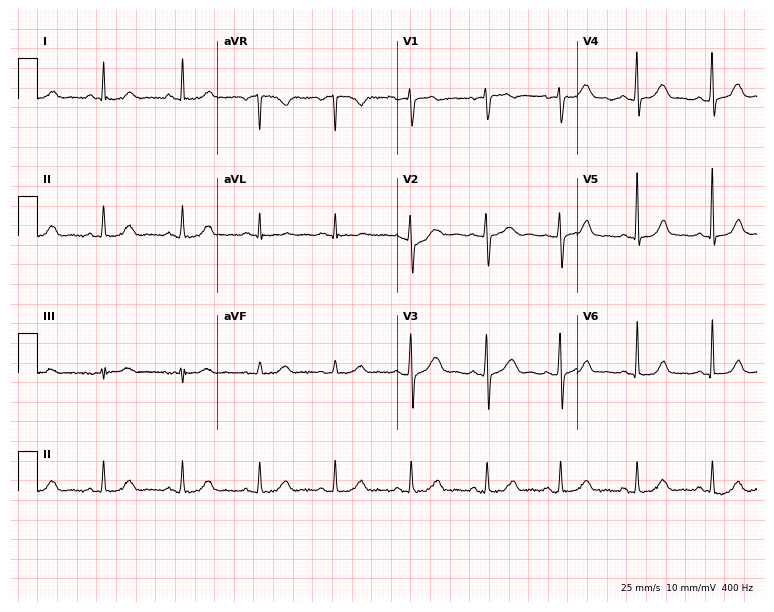
Resting 12-lead electrocardiogram. Patient: a female, 34 years old. Read as a normal ECG.